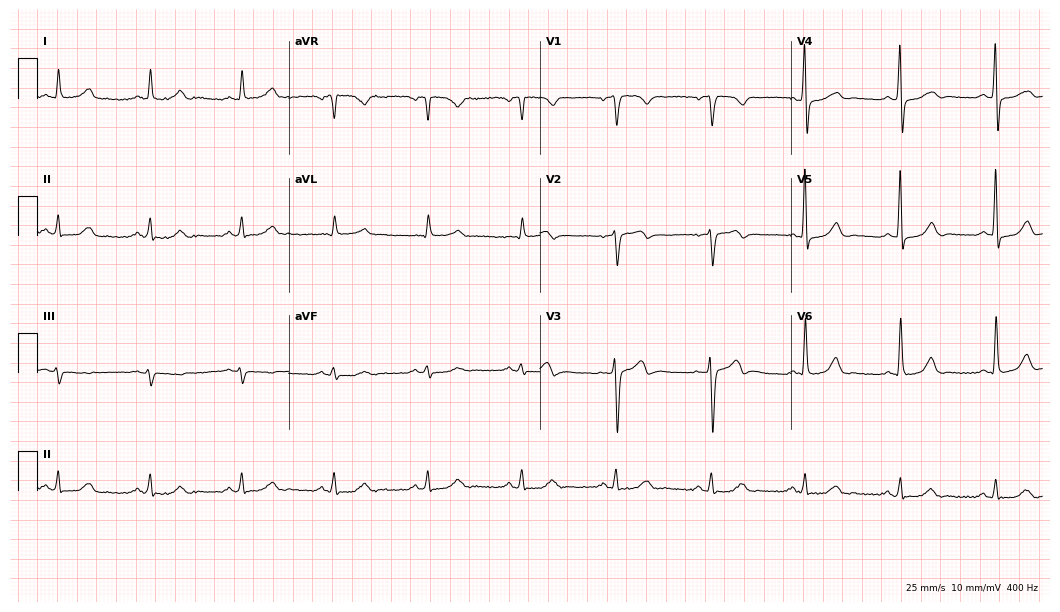
Standard 12-lead ECG recorded from a male patient, 58 years old. None of these six findings is recorded: first-degree AV block, right bundle branch block (RBBB), left bundle branch block (LBBB), sinus bradycardia, atrial fibrillation (AF), sinus tachycardia. Only these six findings were labelled.